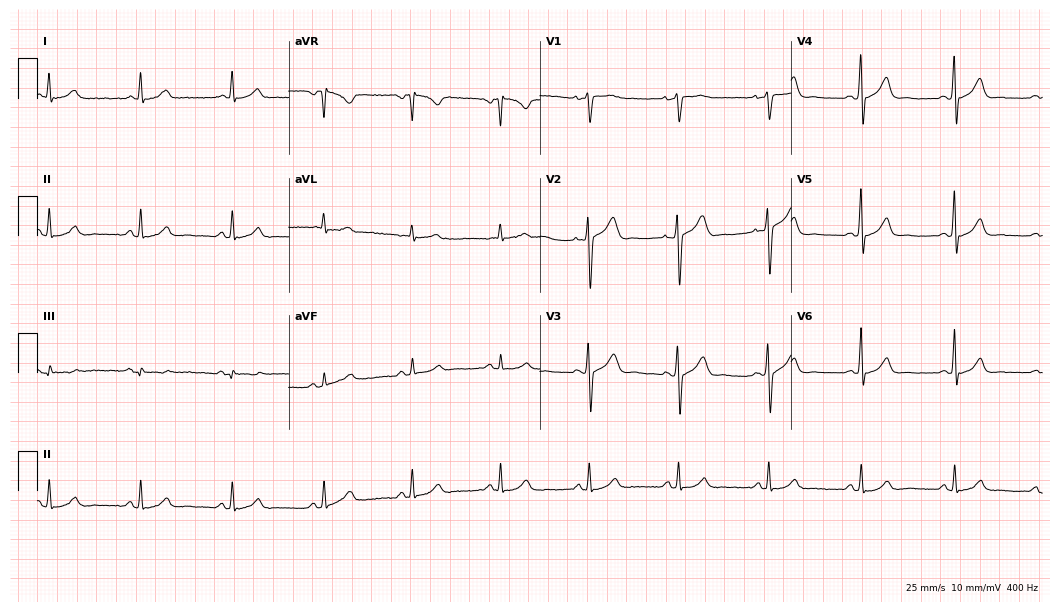
Standard 12-lead ECG recorded from a 53-year-old woman. Read as a normal ECG.